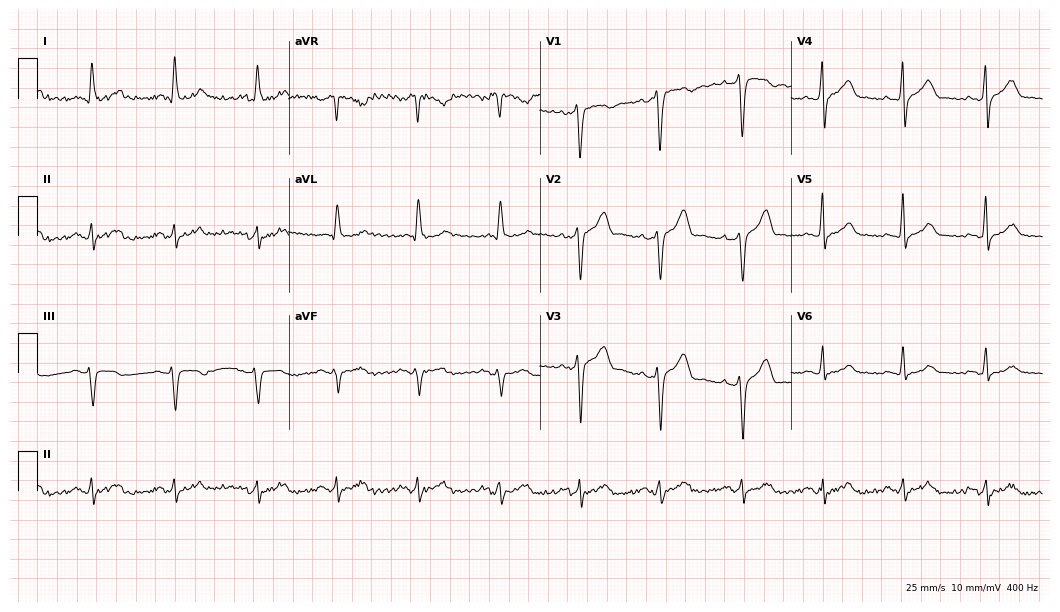
12-lead ECG from a male patient, 63 years old (10.2-second recording at 400 Hz). No first-degree AV block, right bundle branch block (RBBB), left bundle branch block (LBBB), sinus bradycardia, atrial fibrillation (AF) or sinus tachycardia recorded for this tracing.